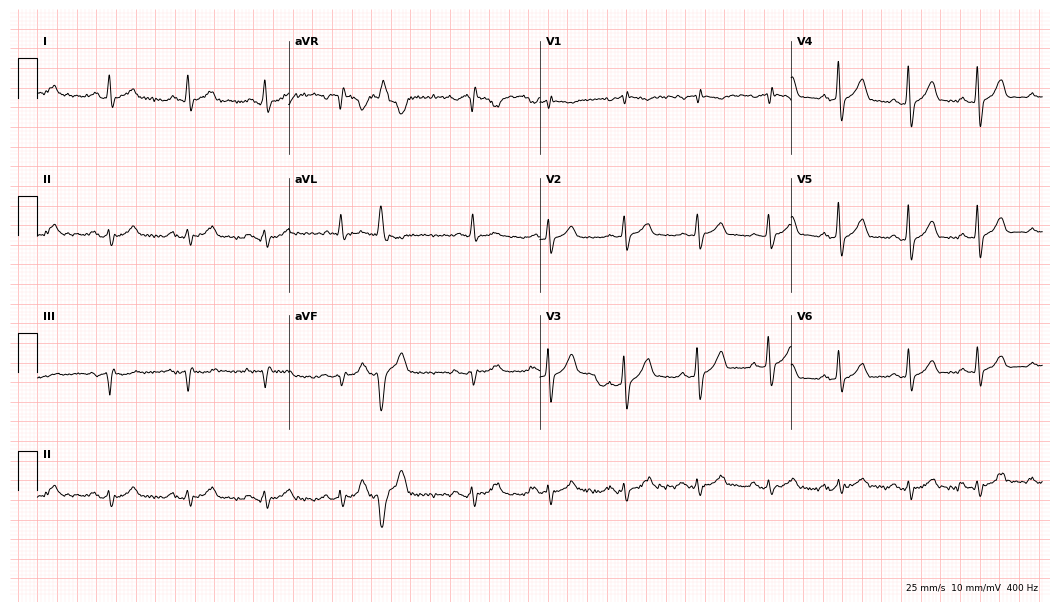
Resting 12-lead electrocardiogram (10.2-second recording at 400 Hz). Patient: a man, 76 years old. None of these six findings is recorded: first-degree AV block, right bundle branch block (RBBB), left bundle branch block (LBBB), sinus bradycardia, atrial fibrillation (AF), sinus tachycardia. Only these six findings were labelled.